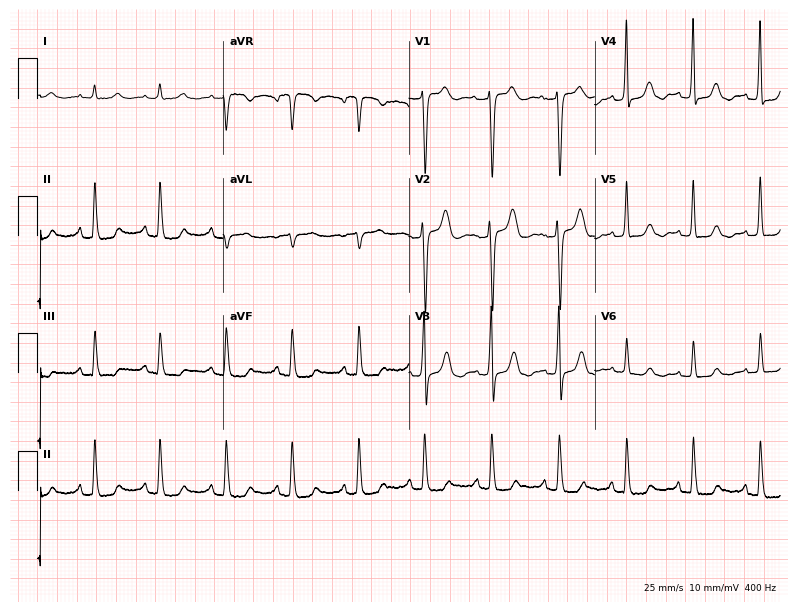
ECG — a female, 79 years old. Screened for six findings — first-degree AV block, right bundle branch block, left bundle branch block, sinus bradycardia, atrial fibrillation, sinus tachycardia — none is recorded. Only these six findings were labelled.